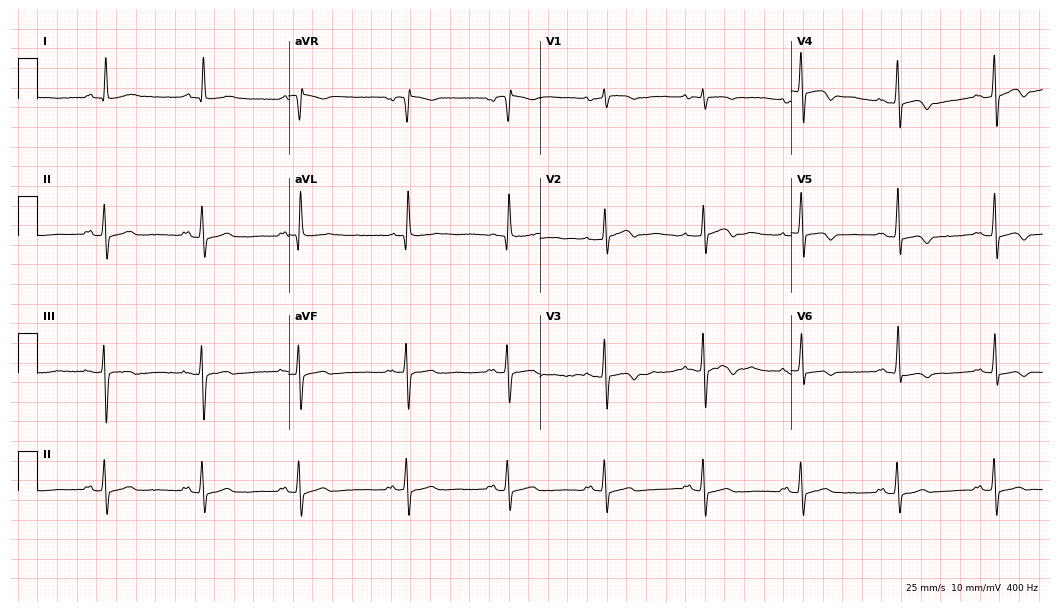
12-lead ECG from a 78-year-old female. No first-degree AV block, right bundle branch block (RBBB), left bundle branch block (LBBB), sinus bradycardia, atrial fibrillation (AF) or sinus tachycardia recorded for this tracing. Findings outside these six are not listed.